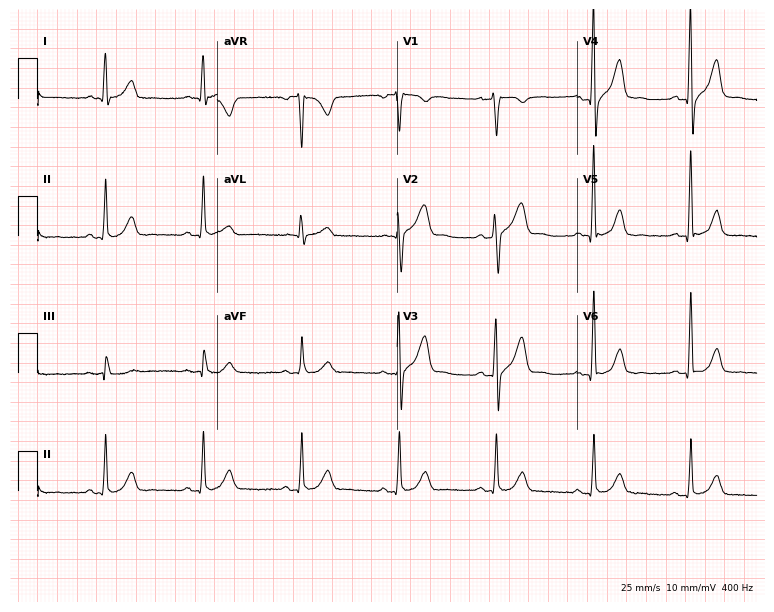
ECG — a 68-year-old male. Labelled as a normal ECG.